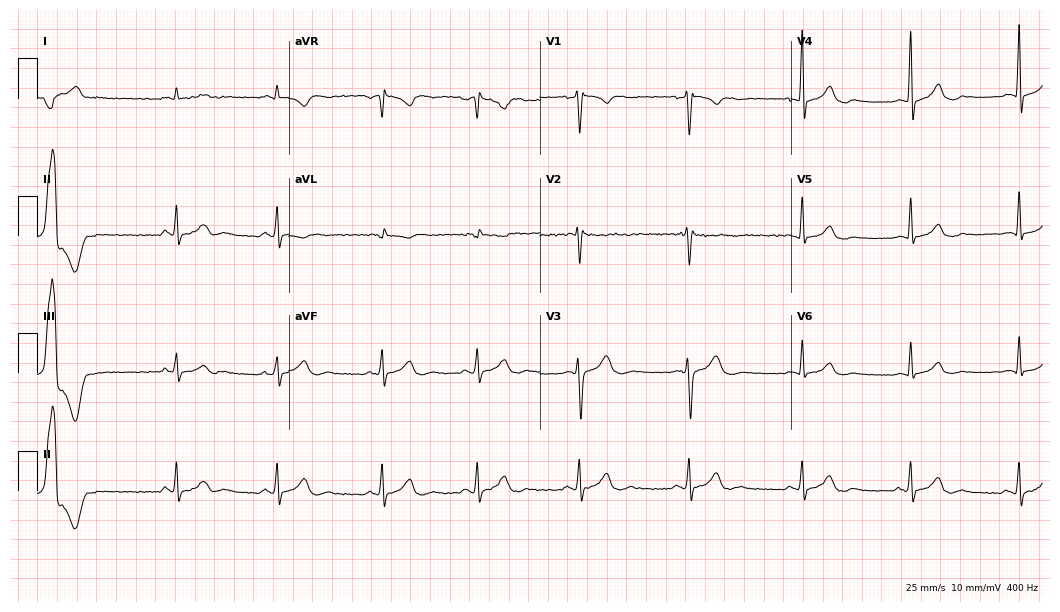
Standard 12-lead ECG recorded from a 34-year-old male patient. Read as a normal ECG.